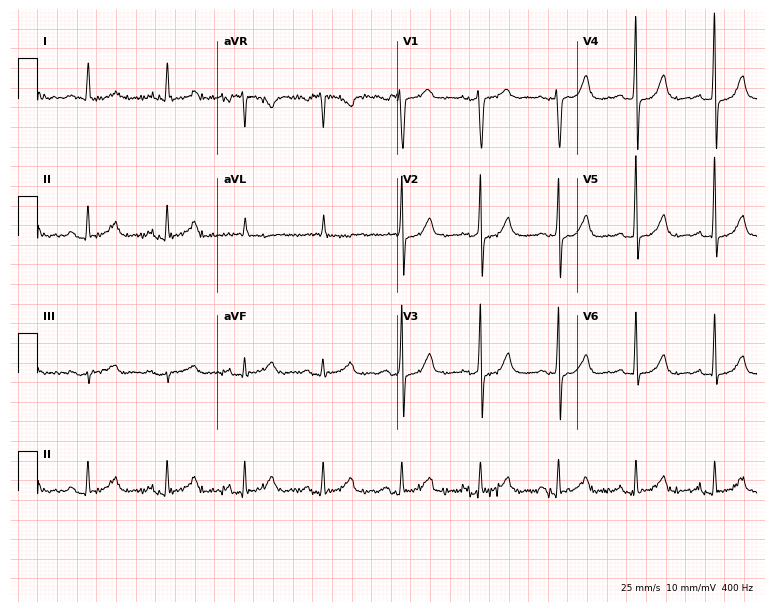
Standard 12-lead ECG recorded from a 67-year-old female patient. Read as a normal ECG.